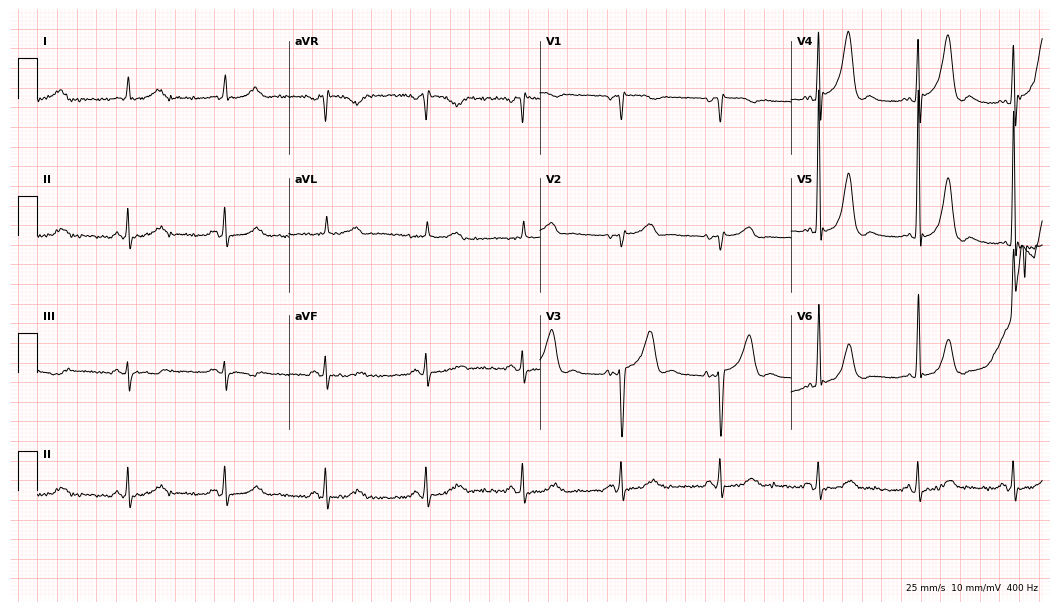
Electrocardiogram (10.2-second recording at 400 Hz), a 69-year-old man. Of the six screened findings (first-degree AV block, right bundle branch block (RBBB), left bundle branch block (LBBB), sinus bradycardia, atrial fibrillation (AF), sinus tachycardia), none is recorded. Only these six findings were labelled.